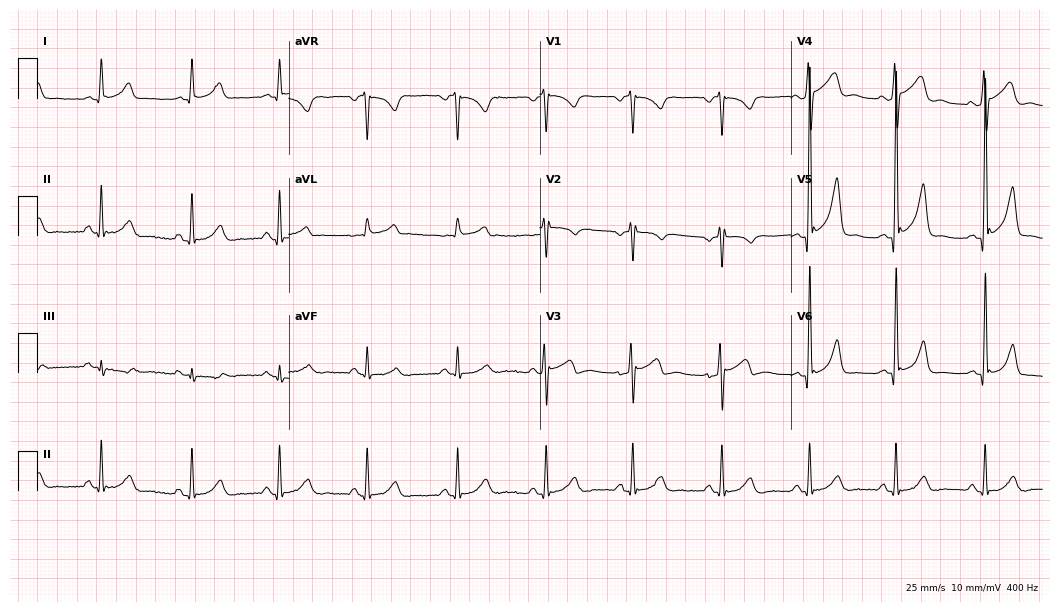
Electrocardiogram, a 55-year-old male. Of the six screened findings (first-degree AV block, right bundle branch block, left bundle branch block, sinus bradycardia, atrial fibrillation, sinus tachycardia), none is recorded. Findings outside these six are not listed.